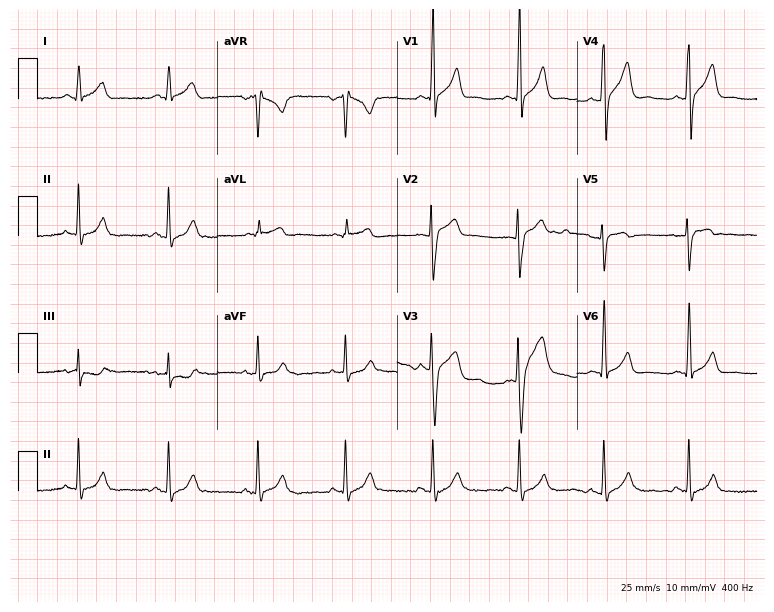
Electrocardiogram, a male, 36 years old. Of the six screened findings (first-degree AV block, right bundle branch block (RBBB), left bundle branch block (LBBB), sinus bradycardia, atrial fibrillation (AF), sinus tachycardia), none is recorded. Findings outside these six are not listed.